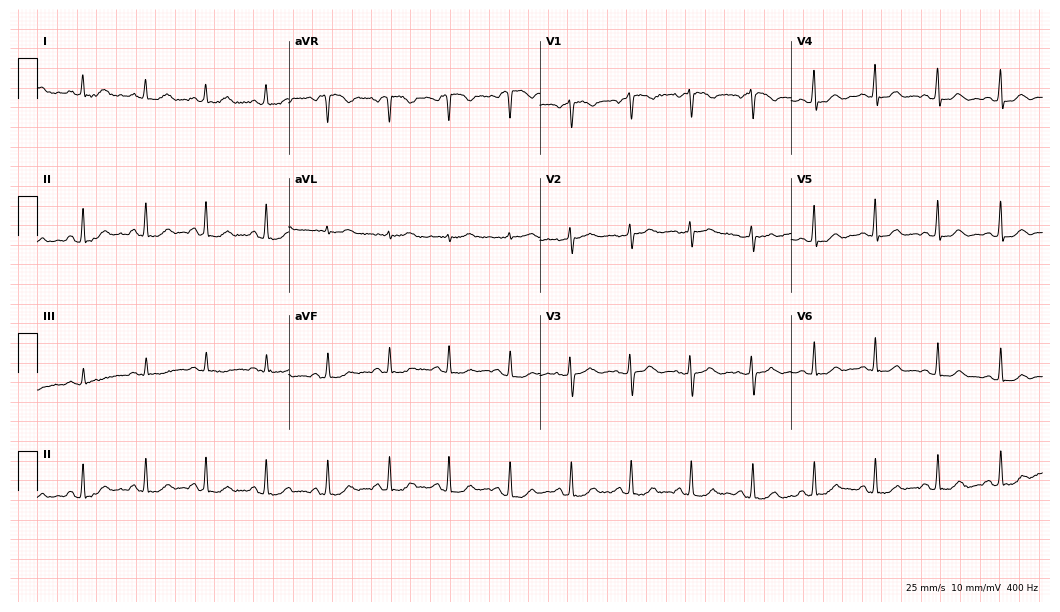
Electrocardiogram (10.2-second recording at 400 Hz), a 33-year-old female. Overall reading on record: normal ECG.